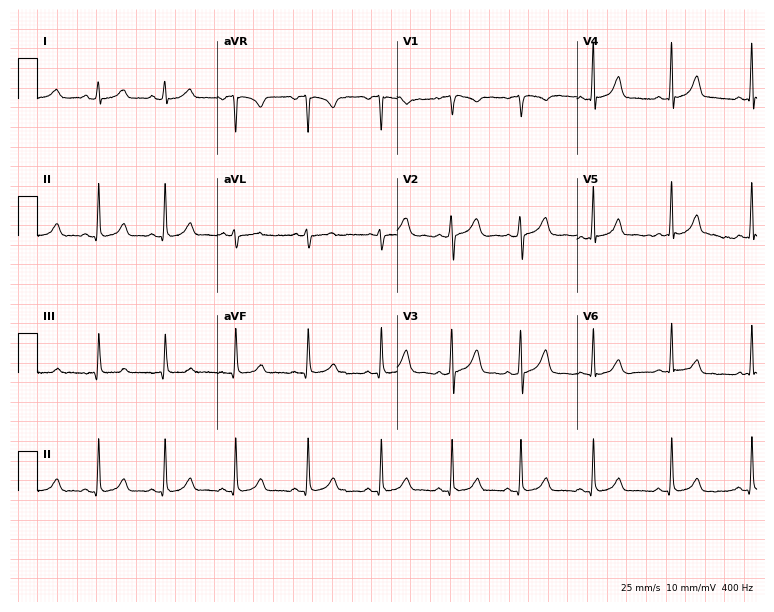
ECG — a female patient, 31 years old. Labelled as a normal ECG.